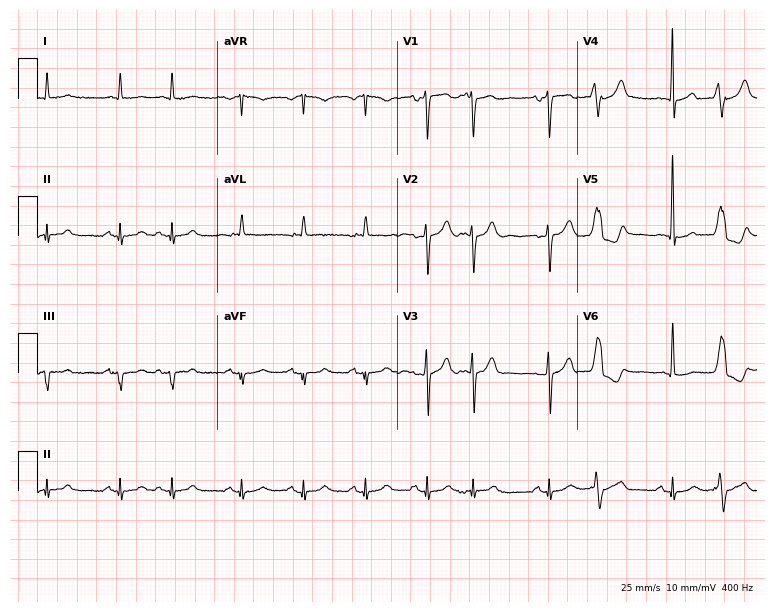
Resting 12-lead electrocardiogram (7.3-second recording at 400 Hz). Patient: a man, 83 years old. None of these six findings is recorded: first-degree AV block, right bundle branch block (RBBB), left bundle branch block (LBBB), sinus bradycardia, atrial fibrillation (AF), sinus tachycardia.